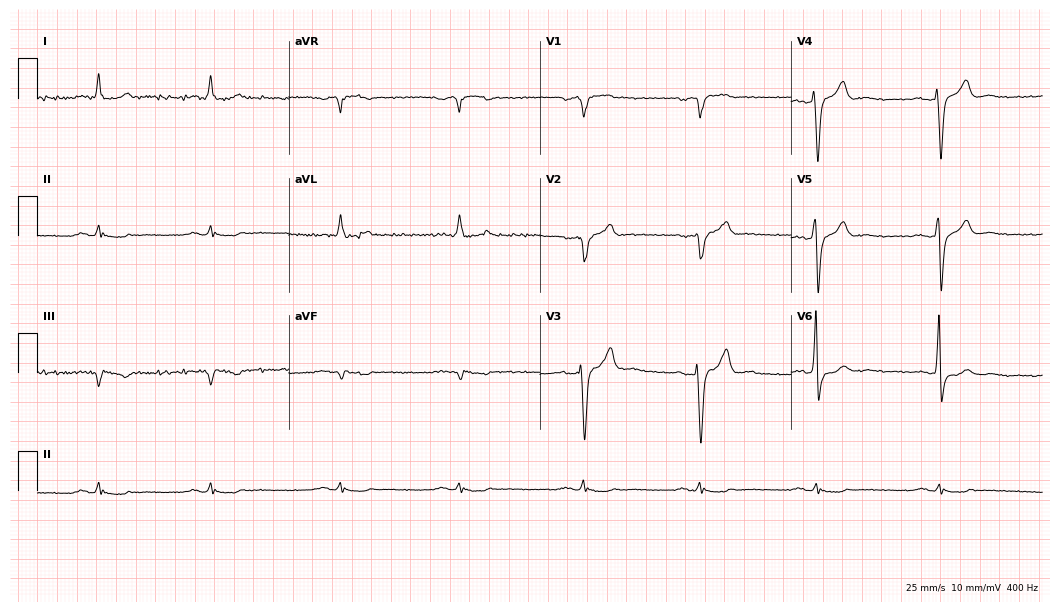
ECG — a male patient, 80 years old. Screened for six findings — first-degree AV block, right bundle branch block, left bundle branch block, sinus bradycardia, atrial fibrillation, sinus tachycardia — none is recorded.